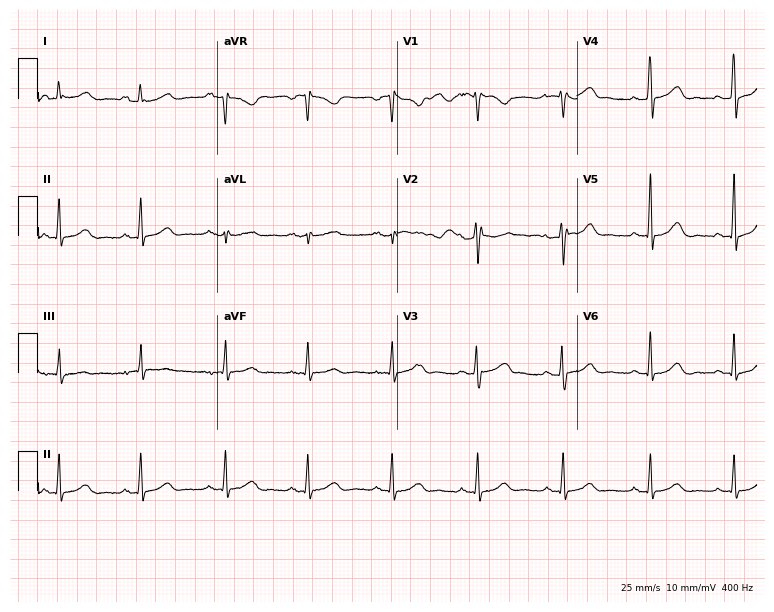
ECG — a woman, 37 years old. Labelled as a normal ECG.